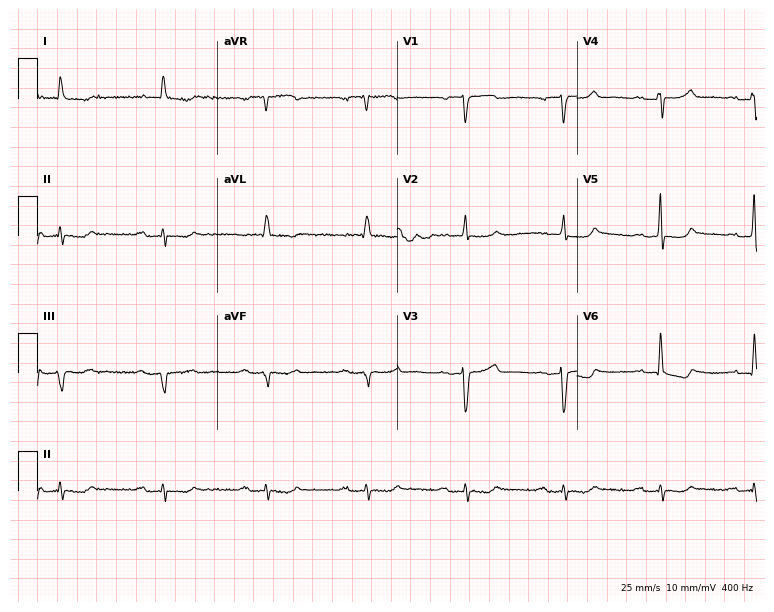
Standard 12-lead ECG recorded from a 77-year-old female (7.3-second recording at 400 Hz). None of these six findings is recorded: first-degree AV block, right bundle branch block, left bundle branch block, sinus bradycardia, atrial fibrillation, sinus tachycardia.